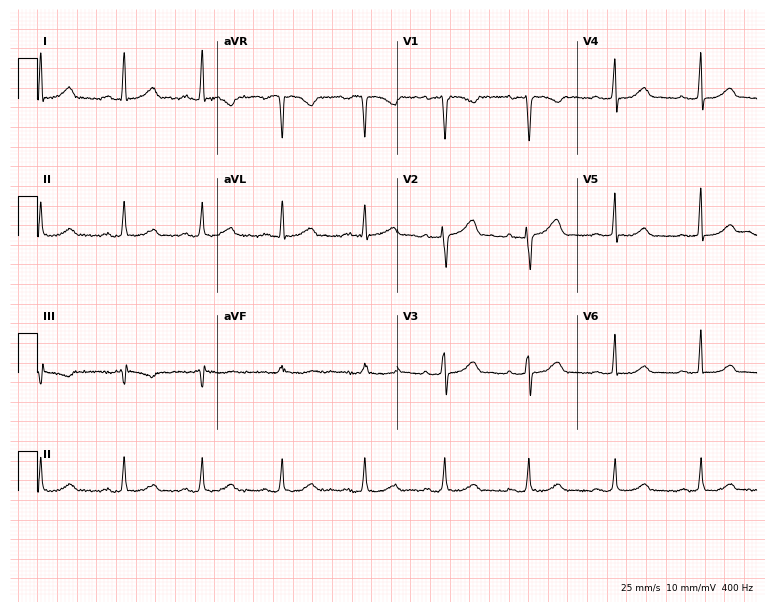
12-lead ECG from a 40-year-old woman. Labelled as a normal ECG.